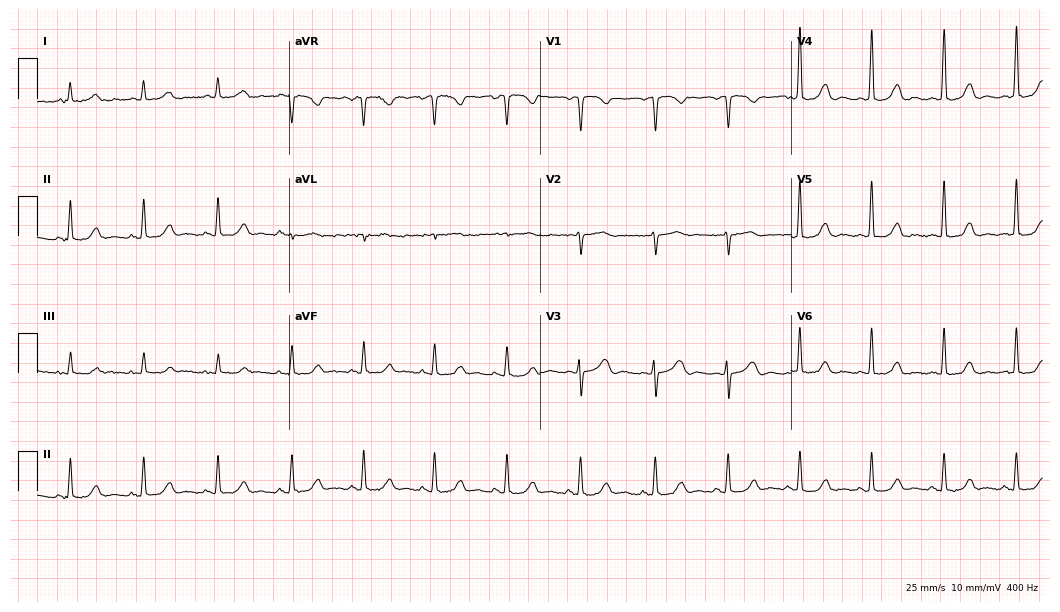
ECG (10.2-second recording at 400 Hz) — a 45-year-old female patient. Labelled as a normal ECG.